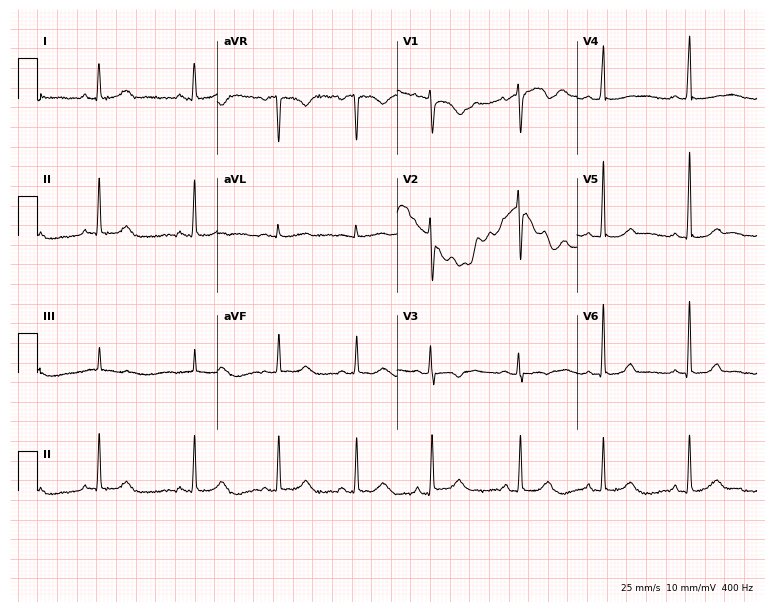
Electrocardiogram, a female patient, 27 years old. Of the six screened findings (first-degree AV block, right bundle branch block, left bundle branch block, sinus bradycardia, atrial fibrillation, sinus tachycardia), none is recorded.